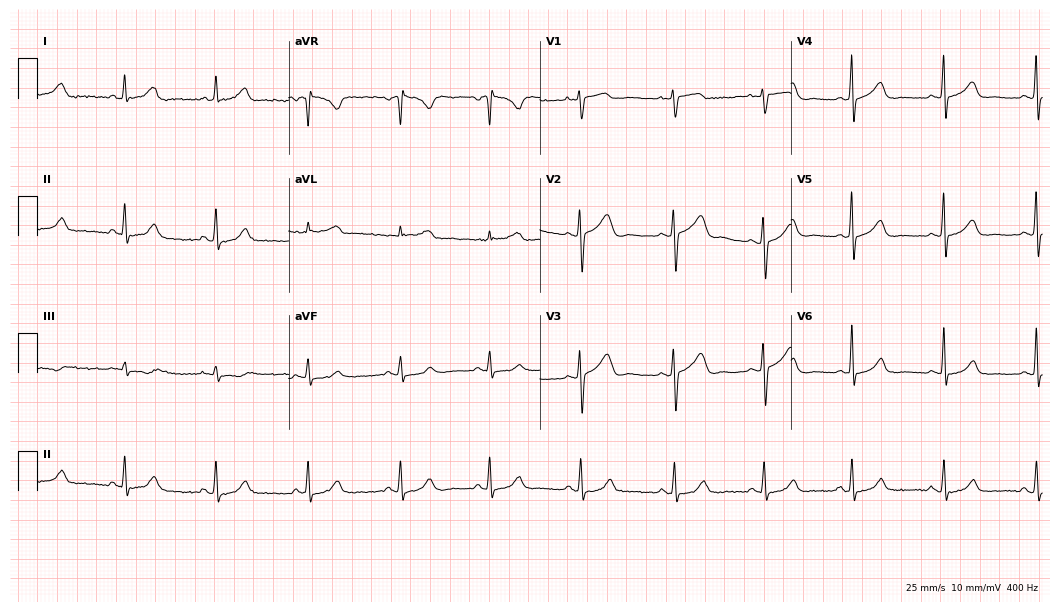
Electrocardiogram (10.2-second recording at 400 Hz), a 42-year-old woman. Overall reading on record: normal ECG.